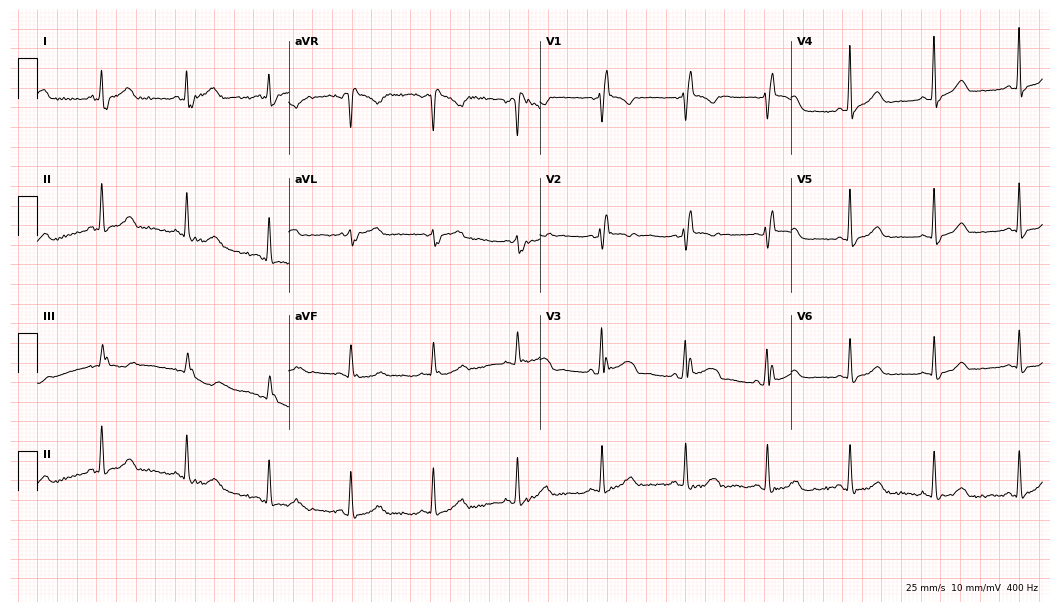
Electrocardiogram (10.2-second recording at 400 Hz), a 65-year-old female. Of the six screened findings (first-degree AV block, right bundle branch block (RBBB), left bundle branch block (LBBB), sinus bradycardia, atrial fibrillation (AF), sinus tachycardia), none is recorded. Other findings, if any, are not listed.